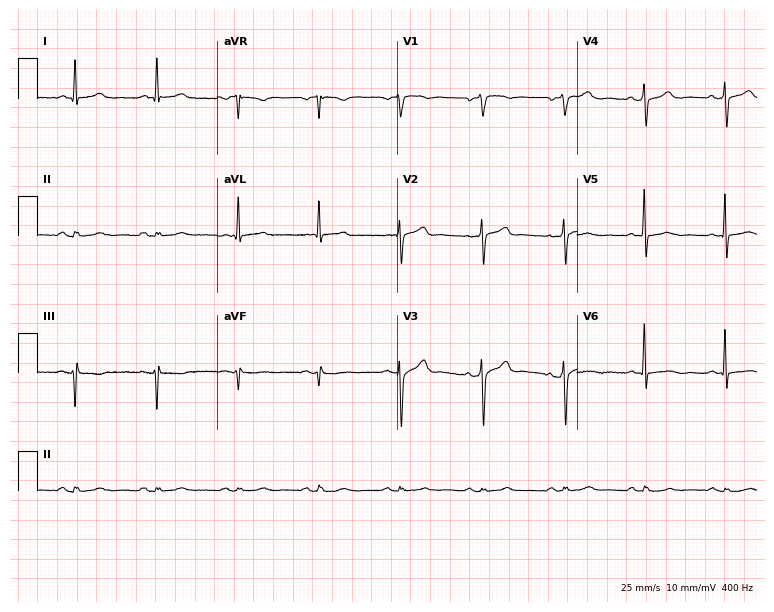
ECG — a 73-year-old man. Screened for six findings — first-degree AV block, right bundle branch block, left bundle branch block, sinus bradycardia, atrial fibrillation, sinus tachycardia — none is recorded.